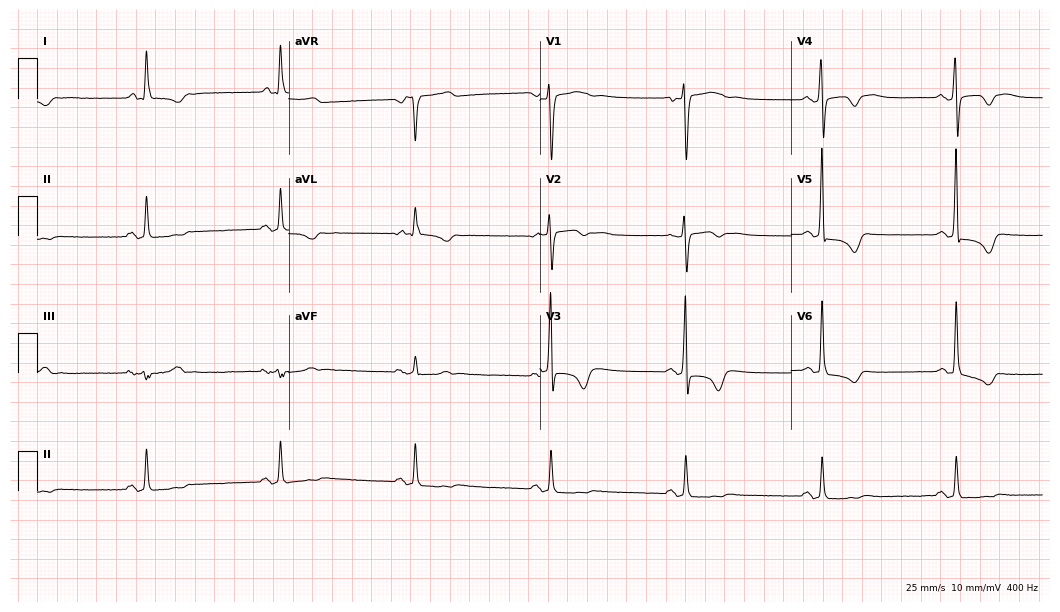
Resting 12-lead electrocardiogram. Patient: a male, 66 years old. The tracing shows sinus bradycardia (a sinus rate of 50 beats per minute or less).